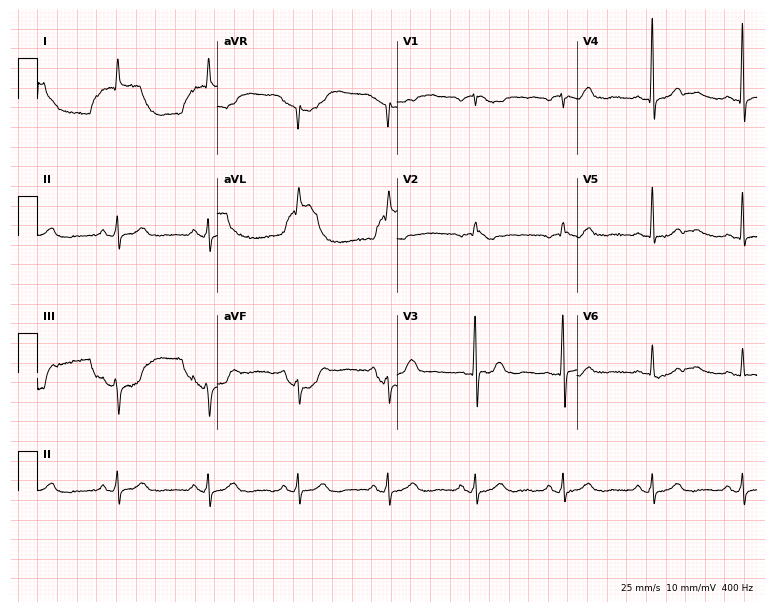
12-lead ECG (7.3-second recording at 400 Hz) from a female, 80 years old. Screened for six findings — first-degree AV block, right bundle branch block, left bundle branch block, sinus bradycardia, atrial fibrillation, sinus tachycardia — none is recorded.